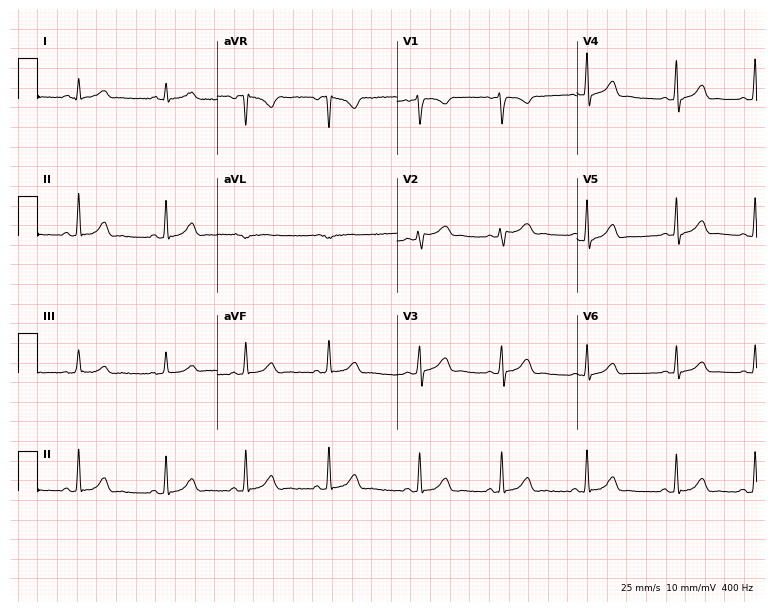
Resting 12-lead electrocardiogram. Patient: a 27-year-old woman. None of these six findings is recorded: first-degree AV block, right bundle branch block, left bundle branch block, sinus bradycardia, atrial fibrillation, sinus tachycardia.